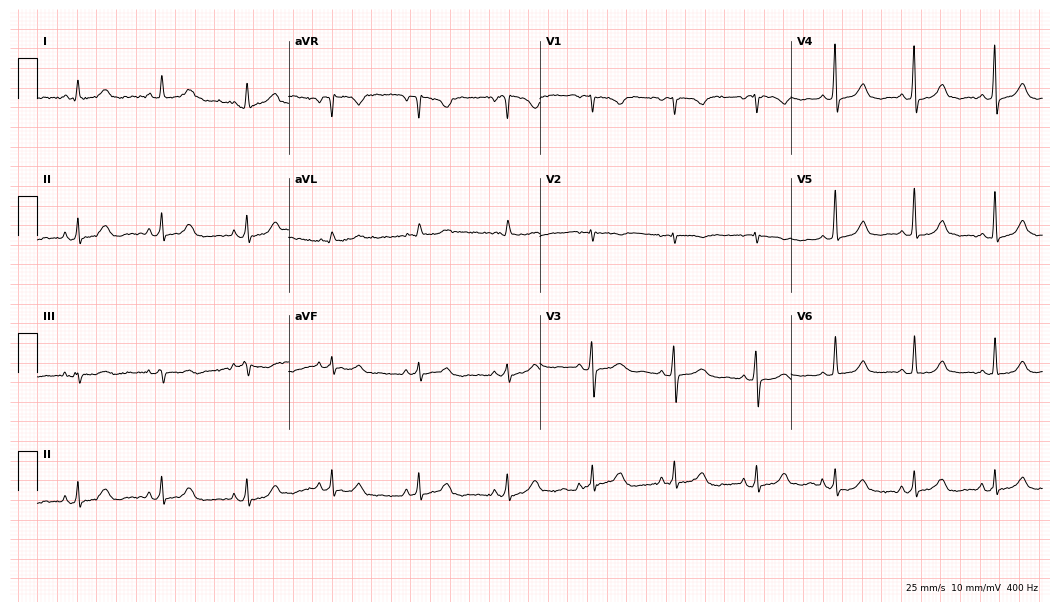
Resting 12-lead electrocardiogram. Patient: a 65-year-old woman. Read as a normal ECG.